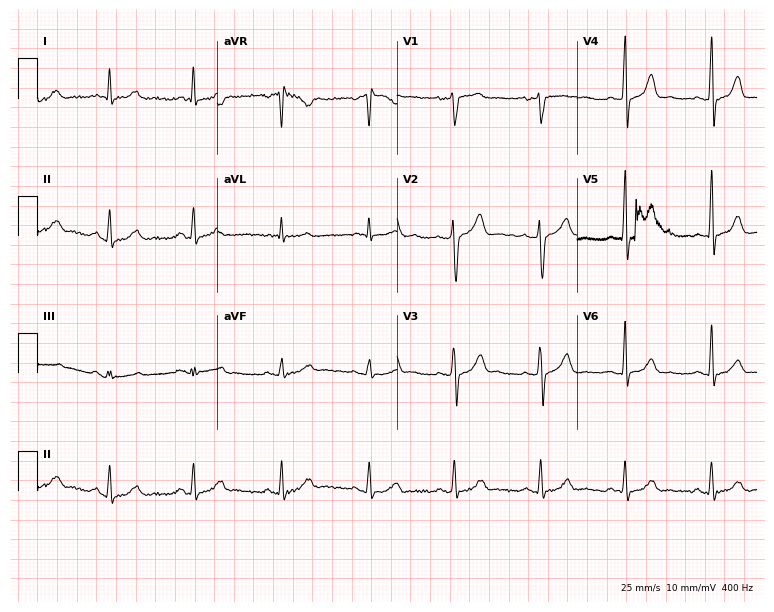
Standard 12-lead ECG recorded from a 34-year-old female patient (7.3-second recording at 400 Hz). None of these six findings is recorded: first-degree AV block, right bundle branch block, left bundle branch block, sinus bradycardia, atrial fibrillation, sinus tachycardia. Other findings, if any, are not listed.